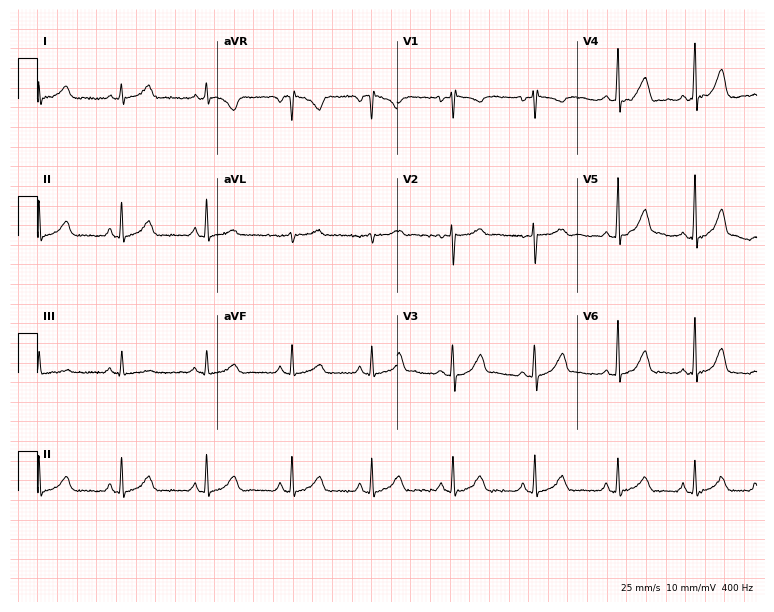
Electrocardiogram, a woman, 23 years old. Of the six screened findings (first-degree AV block, right bundle branch block (RBBB), left bundle branch block (LBBB), sinus bradycardia, atrial fibrillation (AF), sinus tachycardia), none is recorded.